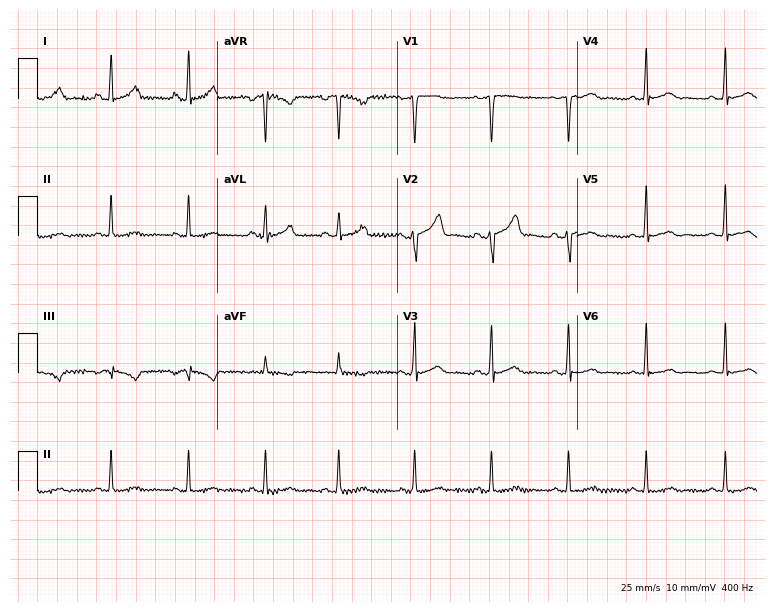
Standard 12-lead ECG recorded from a 27-year-old woman. None of these six findings is recorded: first-degree AV block, right bundle branch block, left bundle branch block, sinus bradycardia, atrial fibrillation, sinus tachycardia. Only these six findings were labelled.